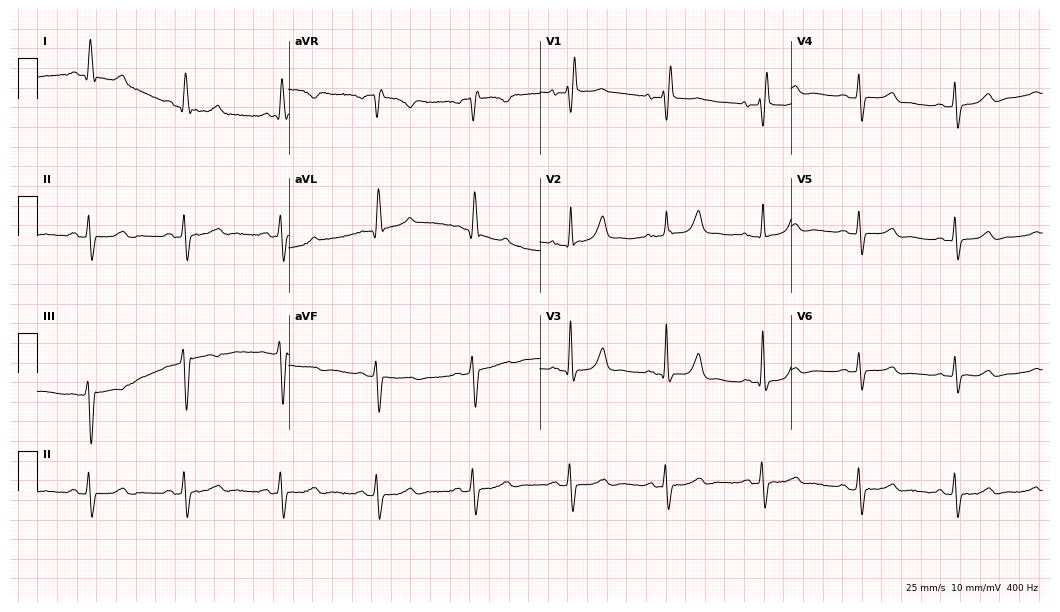
ECG (10.2-second recording at 400 Hz) — a female, 82 years old. Findings include right bundle branch block.